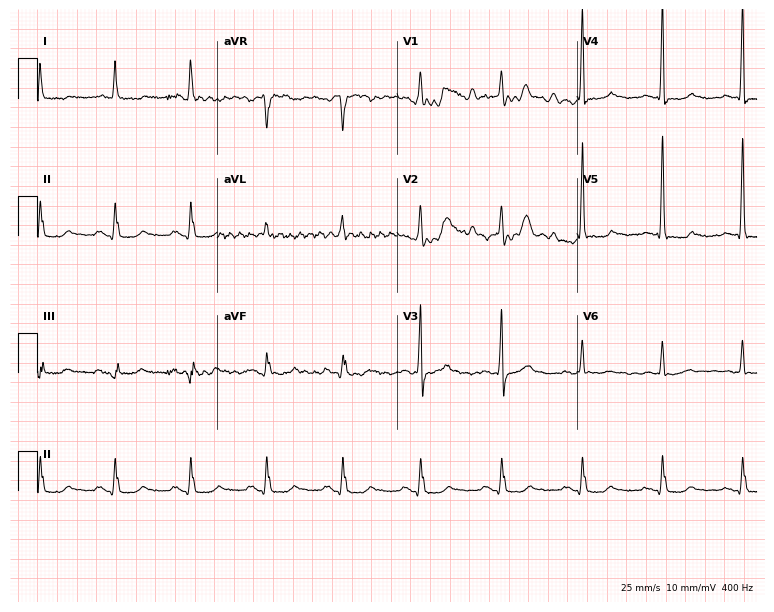
12-lead ECG from a male patient, 61 years old. Screened for six findings — first-degree AV block, right bundle branch block, left bundle branch block, sinus bradycardia, atrial fibrillation, sinus tachycardia — none is recorded. Findings outside these six are not listed.